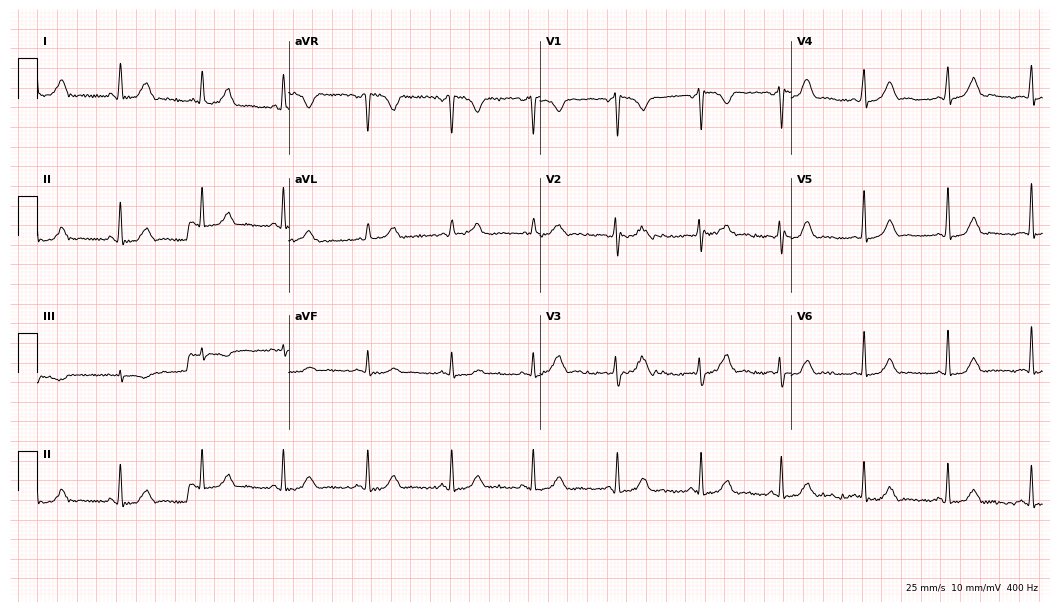
Resting 12-lead electrocardiogram. Patient: a 29-year-old female. None of these six findings is recorded: first-degree AV block, right bundle branch block, left bundle branch block, sinus bradycardia, atrial fibrillation, sinus tachycardia.